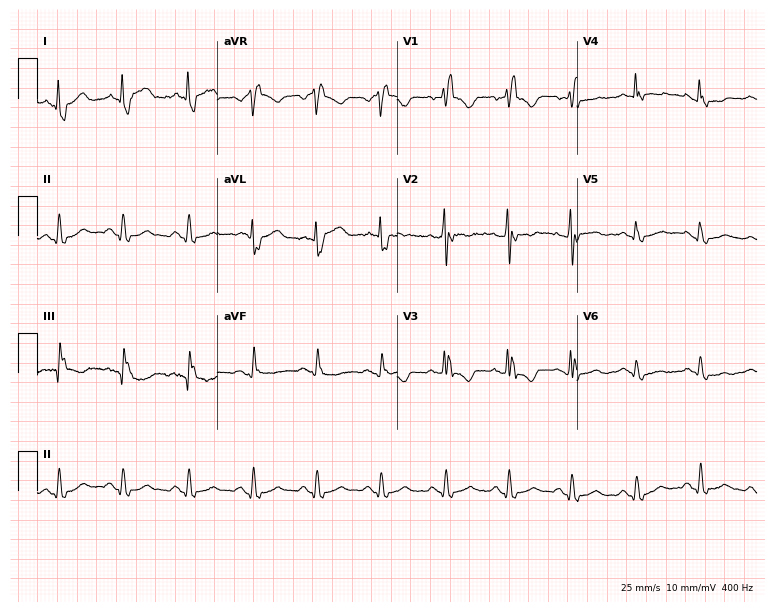
12-lead ECG from a woman, 64 years old (7.3-second recording at 400 Hz). Shows right bundle branch block.